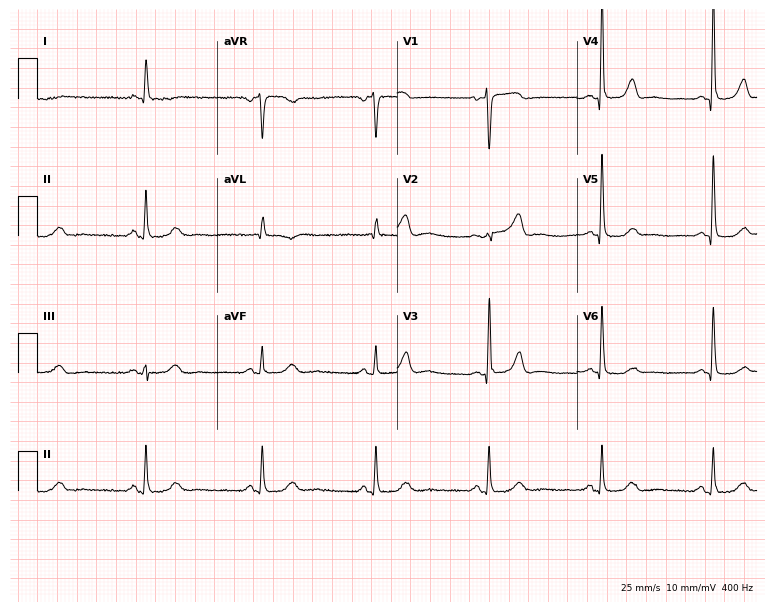
12-lead ECG from a 64-year-old female patient. No first-degree AV block, right bundle branch block, left bundle branch block, sinus bradycardia, atrial fibrillation or sinus tachycardia recorded for this tracing.